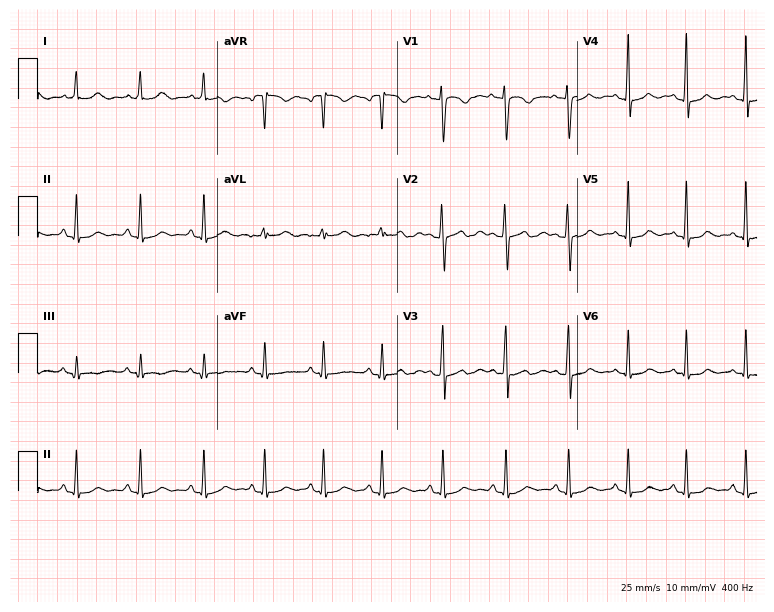
12-lead ECG from a female patient, 22 years old. Labelled as a normal ECG.